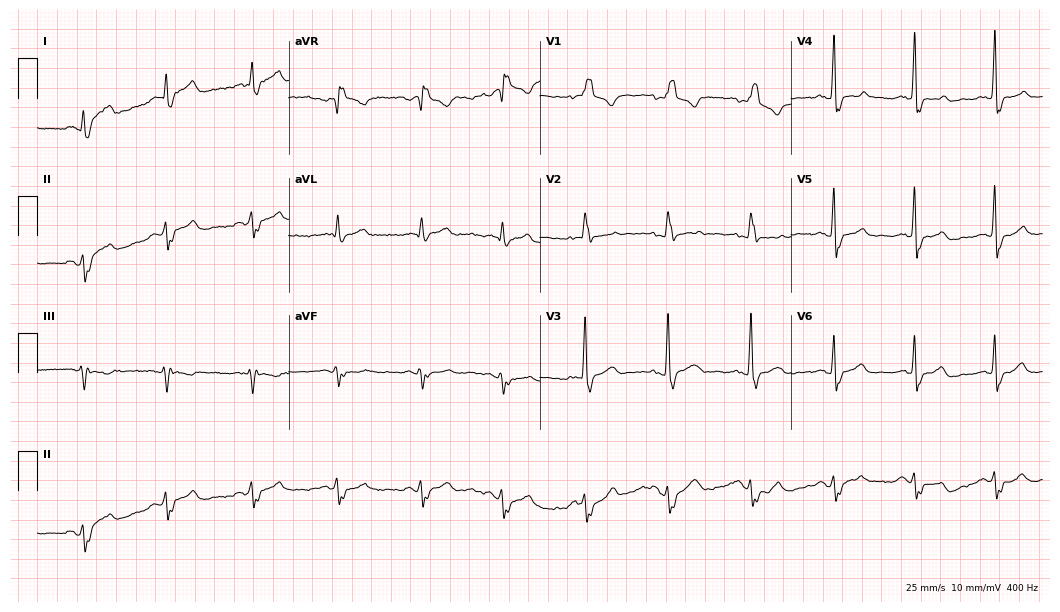
ECG — a man, 46 years old. Findings include right bundle branch block (RBBB).